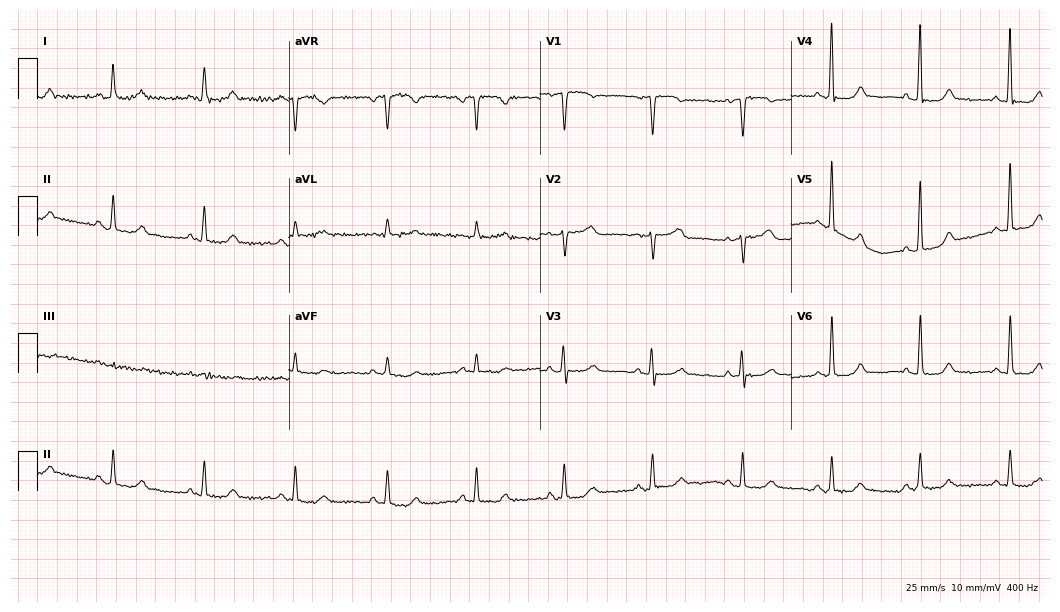
ECG — a 72-year-old female patient. Screened for six findings — first-degree AV block, right bundle branch block, left bundle branch block, sinus bradycardia, atrial fibrillation, sinus tachycardia — none is recorded. Findings outside these six are not listed.